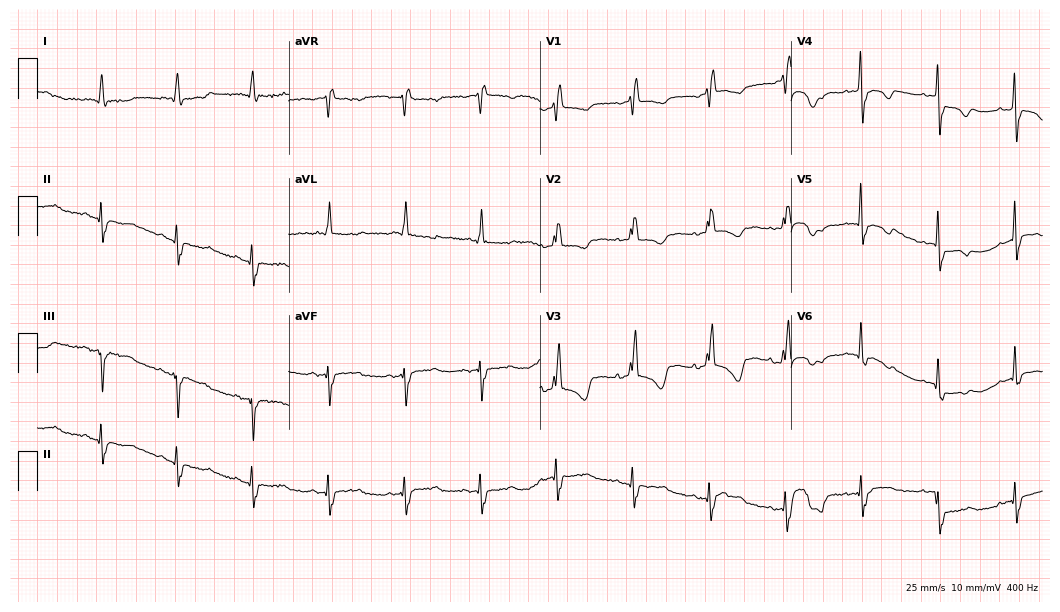
12-lead ECG from a woman, 81 years old. No first-degree AV block, right bundle branch block, left bundle branch block, sinus bradycardia, atrial fibrillation or sinus tachycardia recorded for this tracing. Findings outside these six are not listed.